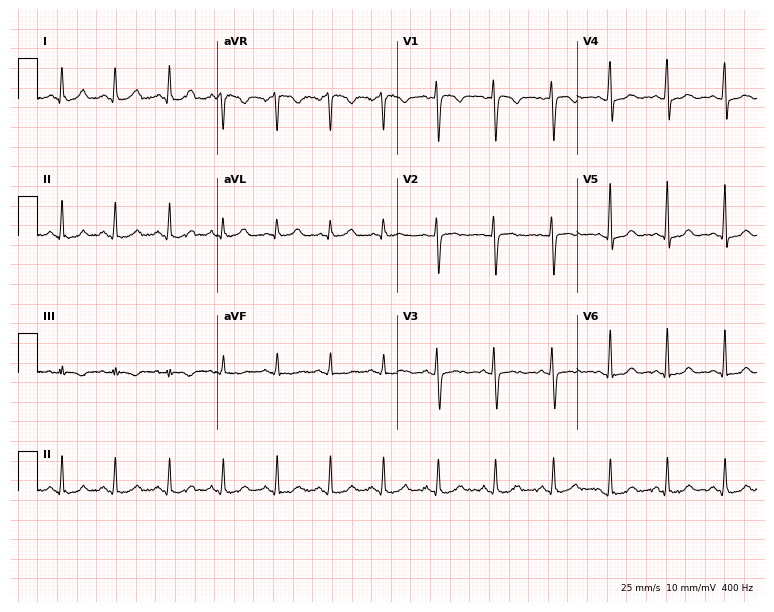
Standard 12-lead ECG recorded from a 35-year-old female (7.3-second recording at 400 Hz). None of these six findings is recorded: first-degree AV block, right bundle branch block, left bundle branch block, sinus bradycardia, atrial fibrillation, sinus tachycardia. Other findings, if any, are not listed.